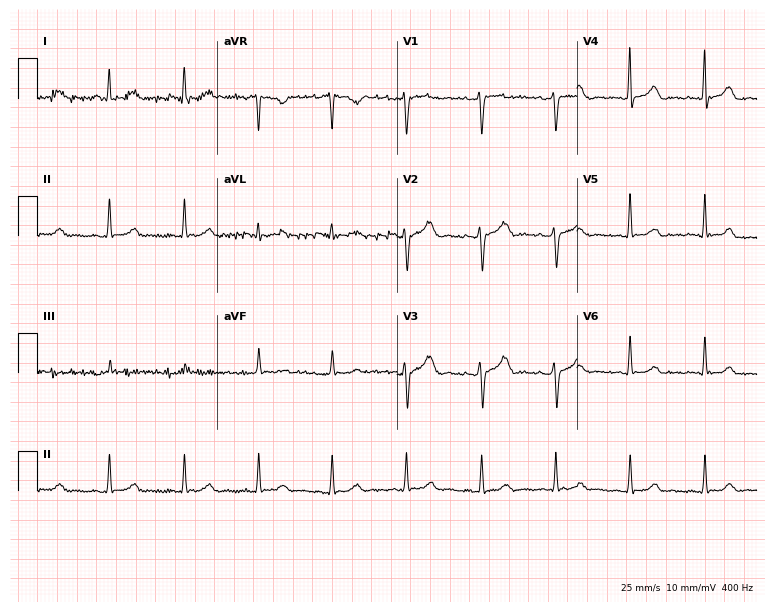
Electrocardiogram (7.3-second recording at 400 Hz), a 45-year-old woman. Of the six screened findings (first-degree AV block, right bundle branch block (RBBB), left bundle branch block (LBBB), sinus bradycardia, atrial fibrillation (AF), sinus tachycardia), none is recorded.